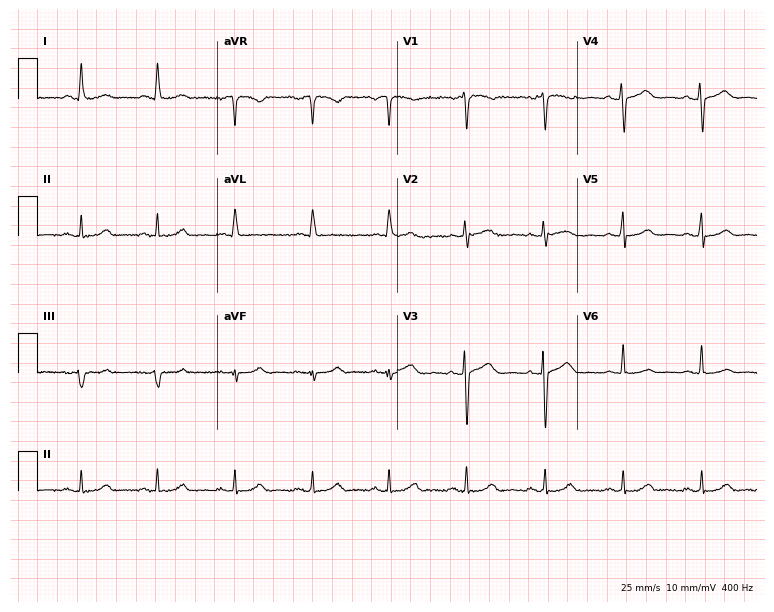
Electrocardiogram, a 69-year-old female patient. Of the six screened findings (first-degree AV block, right bundle branch block (RBBB), left bundle branch block (LBBB), sinus bradycardia, atrial fibrillation (AF), sinus tachycardia), none is recorded.